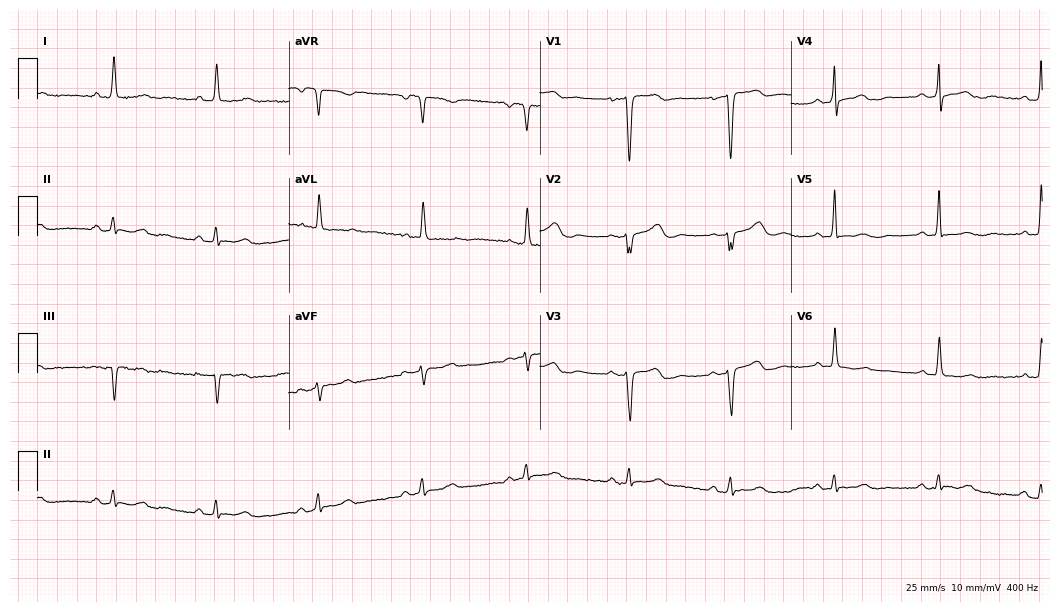
Standard 12-lead ECG recorded from an 84-year-old man (10.2-second recording at 400 Hz). Read as a normal ECG.